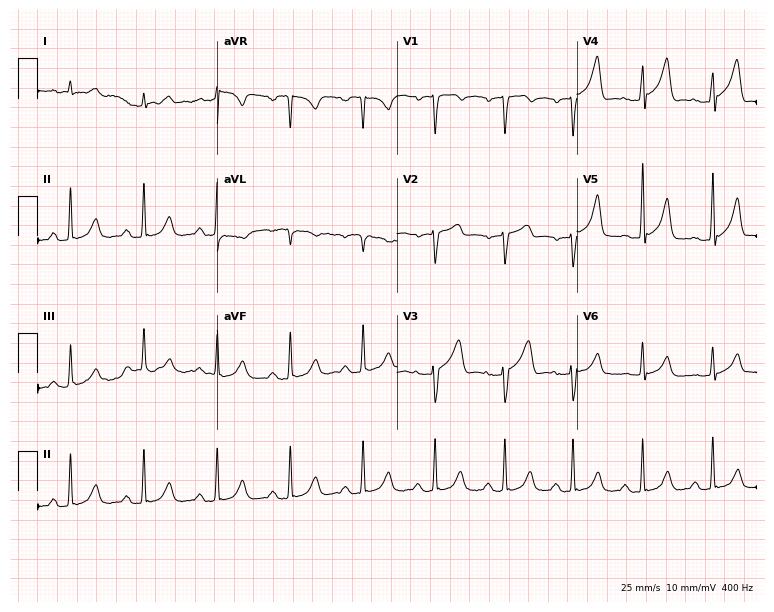
12-lead ECG (7.3-second recording at 400 Hz) from a 53-year-old male patient. Screened for six findings — first-degree AV block, right bundle branch block, left bundle branch block, sinus bradycardia, atrial fibrillation, sinus tachycardia — none is recorded.